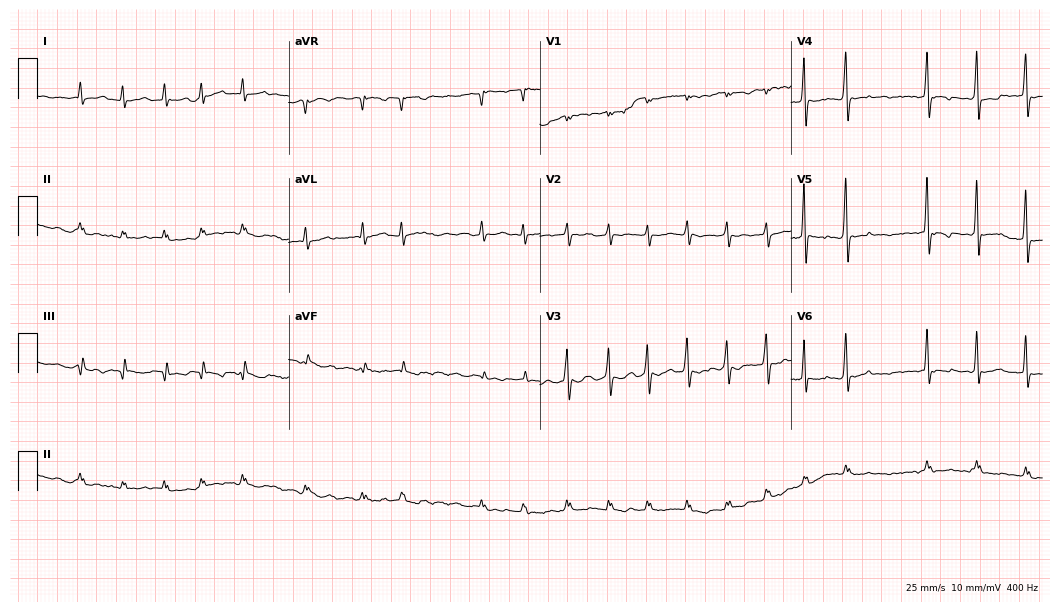
Resting 12-lead electrocardiogram. Patient: a man, 85 years old. The tracing shows atrial fibrillation.